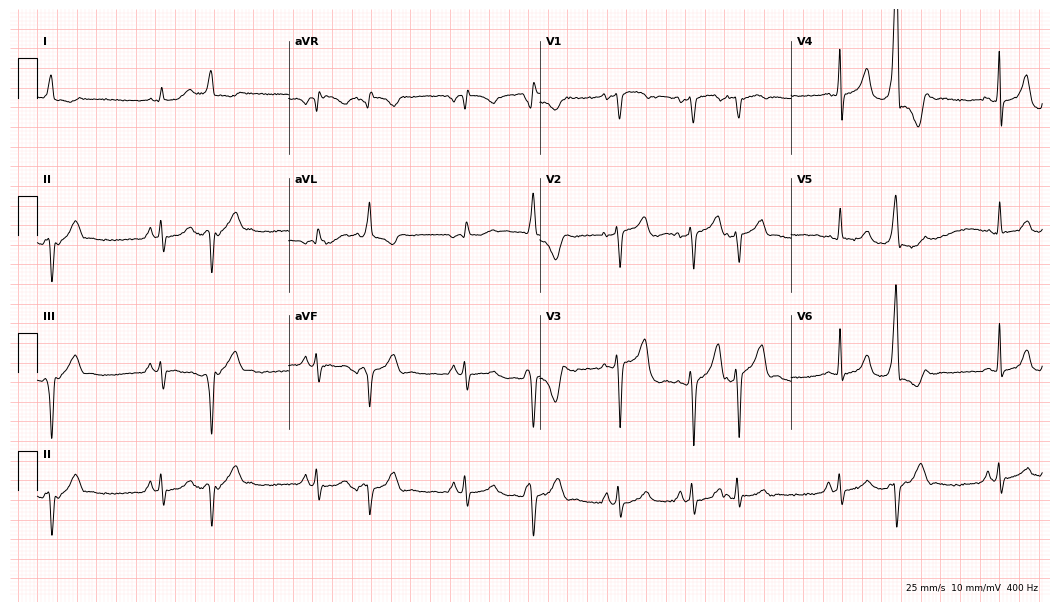
Standard 12-lead ECG recorded from a man, 65 years old. None of these six findings is recorded: first-degree AV block, right bundle branch block (RBBB), left bundle branch block (LBBB), sinus bradycardia, atrial fibrillation (AF), sinus tachycardia. Findings outside these six are not listed.